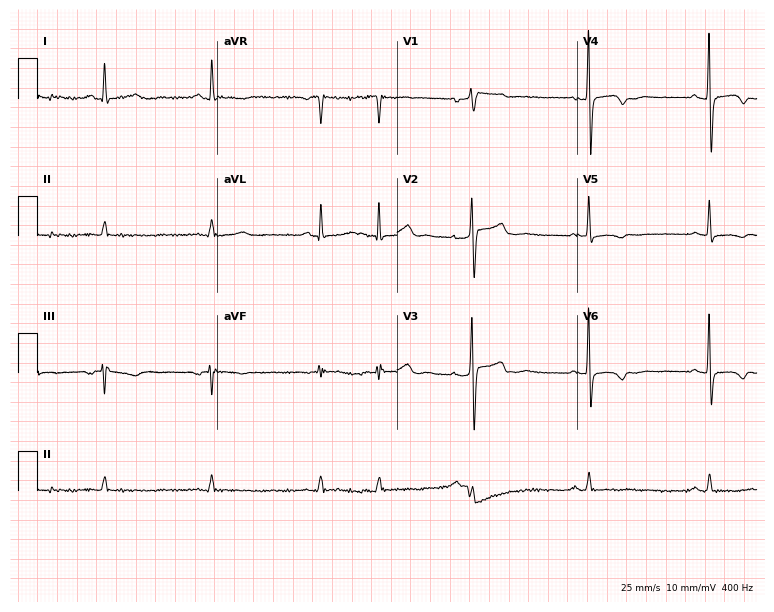
Standard 12-lead ECG recorded from a 61-year-old woman (7.3-second recording at 400 Hz). None of these six findings is recorded: first-degree AV block, right bundle branch block, left bundle branch block, sinus bradycardia, atrial fibrillation, sinus tachycardia. Only these six findings were labelled.